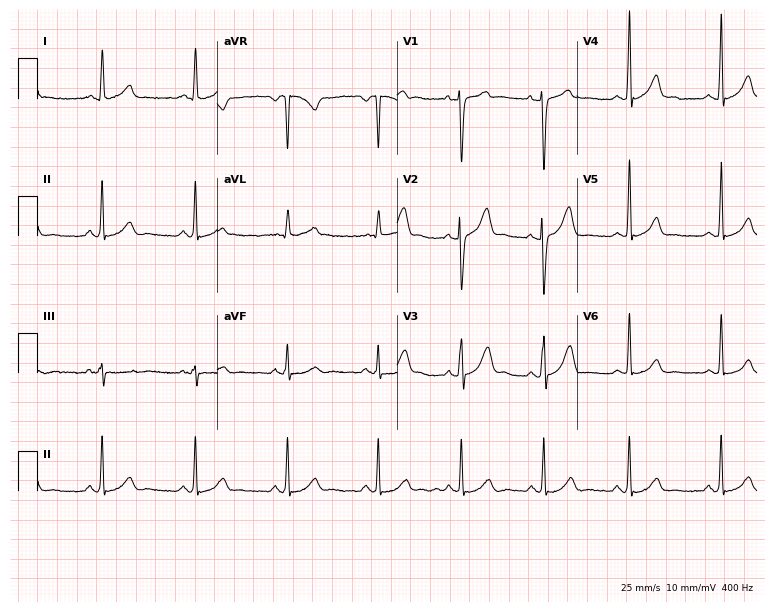
Resting 12-lead electrocardiogram. Patient: a 39-year-old female. None of these six findings is recorded: first-degree AV block, right bundle branch block (RBBB), left bundle branch block (LBBB), sinus bradycardia, atrial fibrillation (AF), sinus tachycardia.